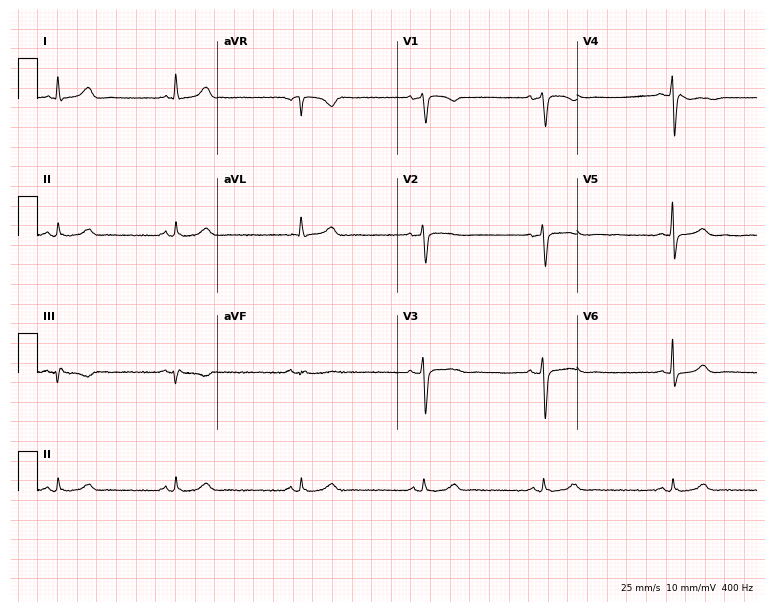
Electrocardiogram (7.3-second recording at 400 Hz), a 47-year-old woman. Interpretation includes sinus bradycardia (a sinus rate of 50 beats per minute or less).